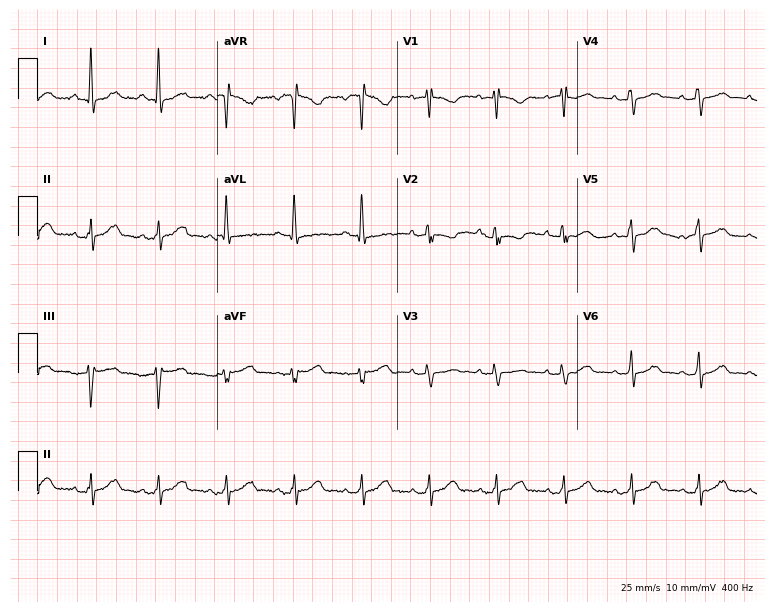
Resting 12-lead electrocardiogram (7.3-second recording at 400 Hz). Patient: a female, 64 years old. None of these six findings is recorded: first-degree AV block, right bundle branch block (RBBB), left bundle branch block (LBBB), sinus bradycardia, atrial fibrillation (AF), sinus tachycardia.